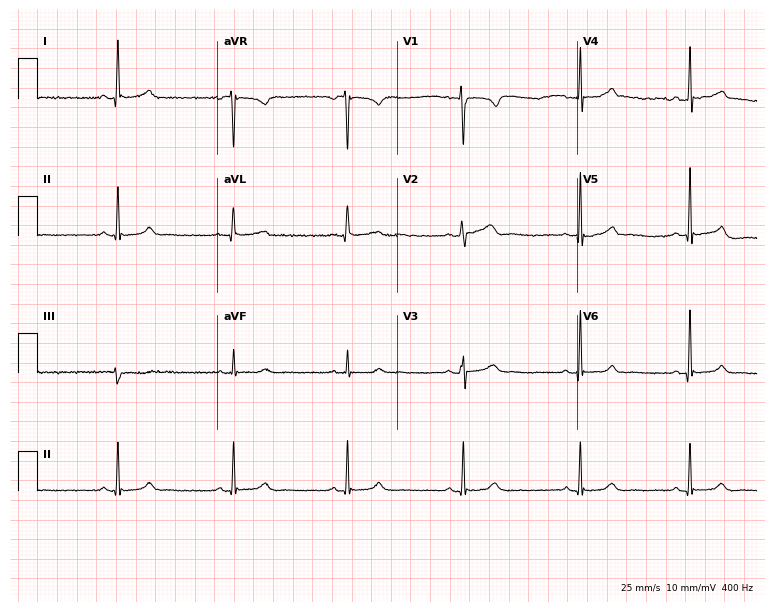
Electrocardiogram, a 40-year-old female patient. Overall reading on record: normal ECG.